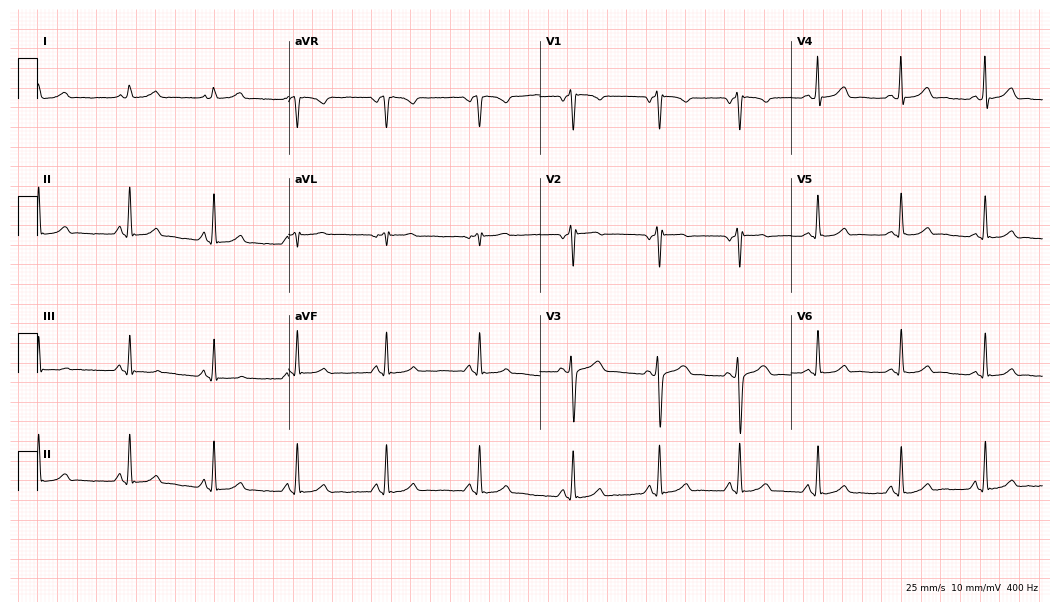
Standard 12-lead ECG recorded from a 30-year-old female patient (10.2-second recording at 400 Hz). Read as a normal ECG.